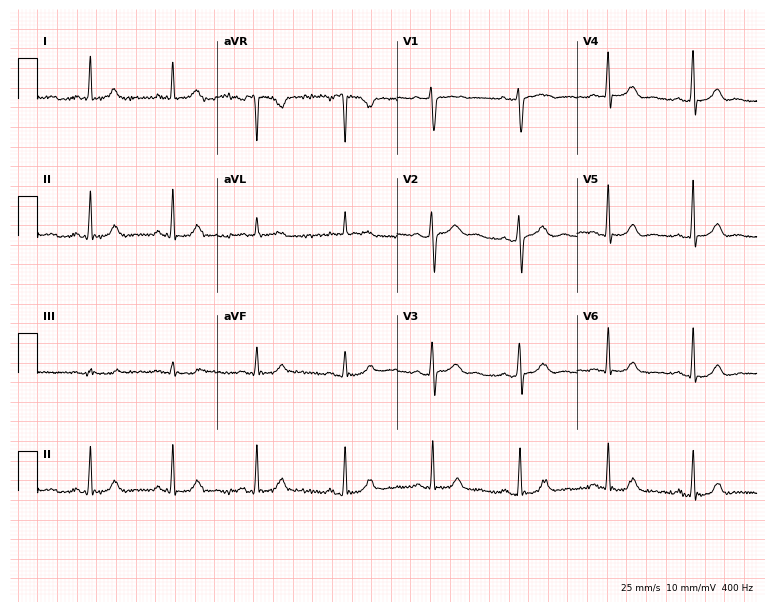
12-lead ECG from a 24-year-old female patient (7.3-second recording at 400 Hz). Recorded interpretation: within normal limits.